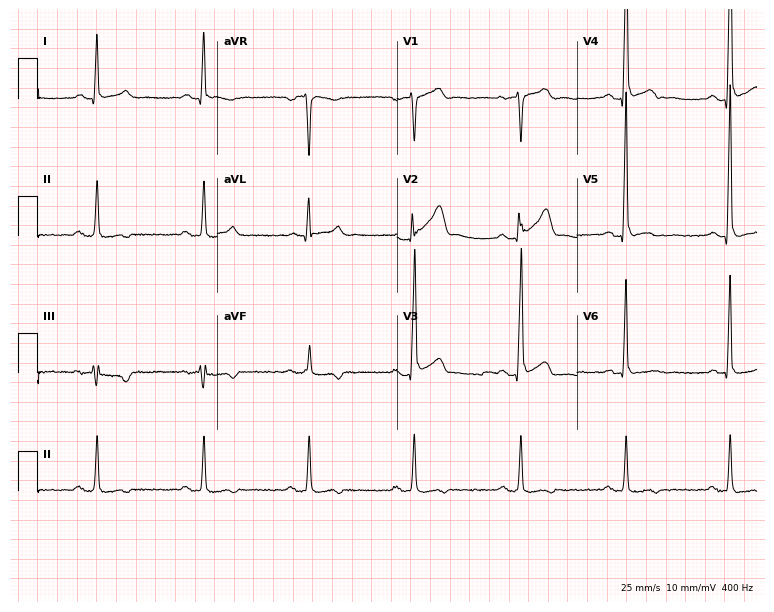
12-lead ECG from a male patient, 61 years old. Screened for six findings — first-degree AV block, right bundle branch block, left bundle branch block, sinus bradycardia, atrial fibrillation, sinus tachycardia — none is recorded. Findings outside these six are not listed.